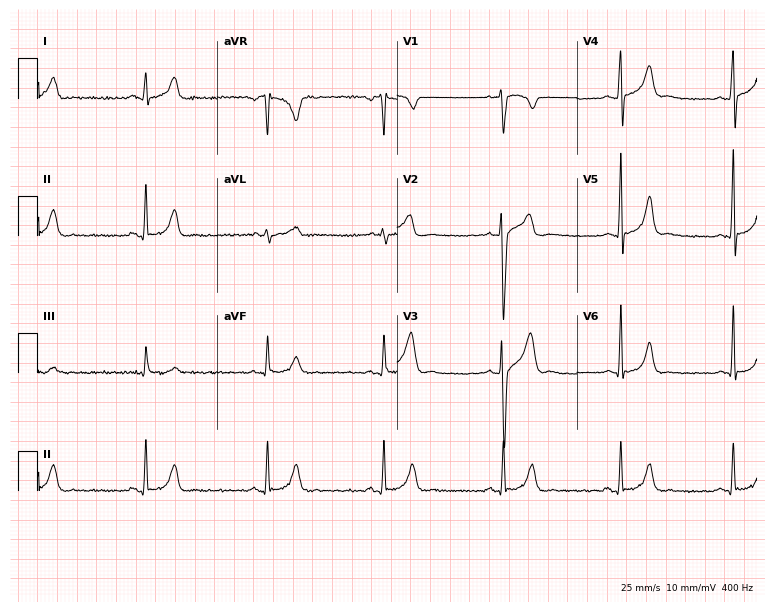
Resting 12-lead electrocardiogram (7.3-second recording at 400 Hz). Patient: a 30-year-old male. None of these six findings is recorded: first-degree AV block, right bundle branch block, left bundle branch block, sinus bradycardia, atrial fibrillation, sinus tachycardia.